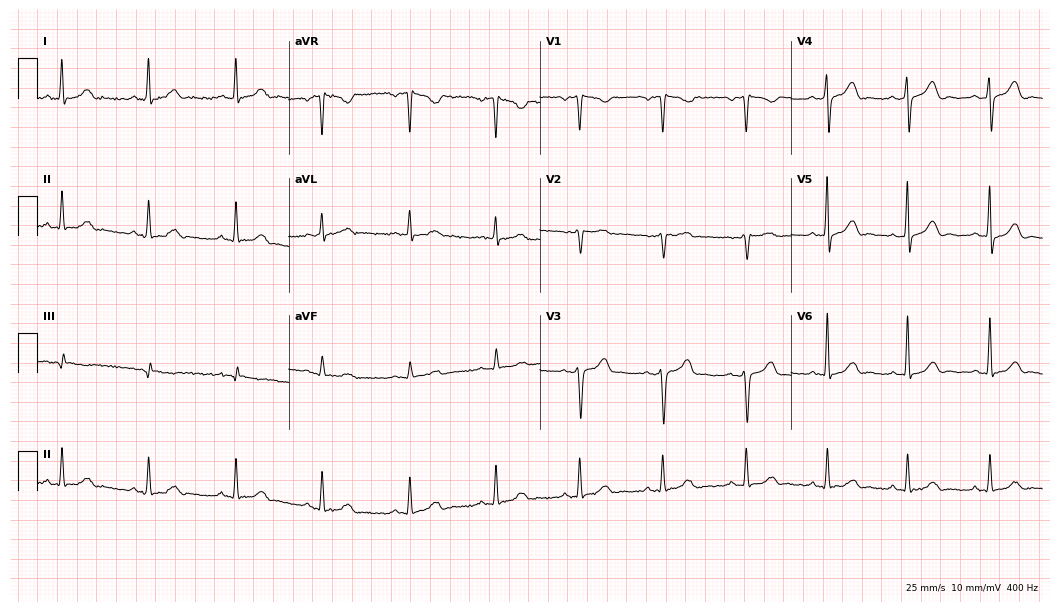
Electrocardiogram (10.2-second recording at 400 Hz), a male patient, 53 years old. Of the six screened findings (first-degree AV block, right bundle branch block (RBBB), left bundle branch block (LBBB), sinus bradycardia, atrial fibrillation (AF), sinus tachycardia), none is recorded.